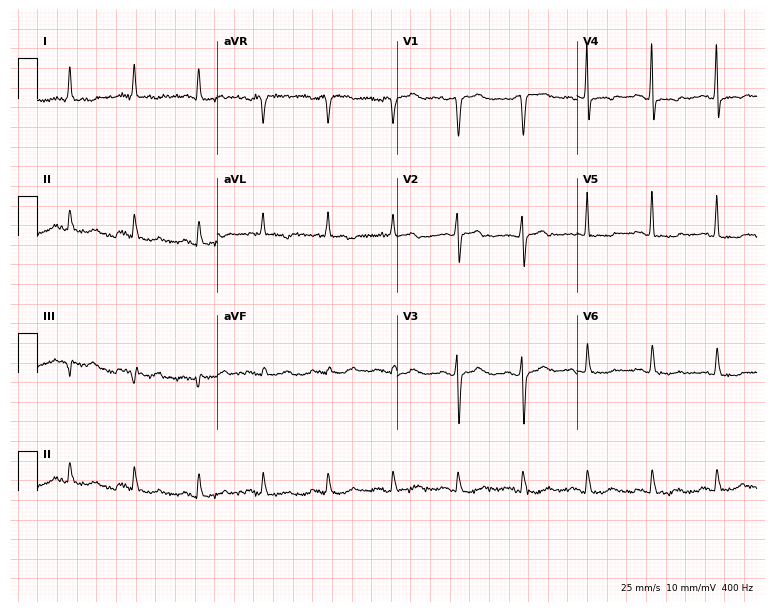
Standard 12-lead ECG recorded from a woman, 80 years old (7.3-second recording at 400 Hz). None of these six findings is recorded: first-degree AV block, right bundle branch block (RBBB), left bundle branch block (LBBB), sinus bradycardia, atrial fibrillation (AF), sinus tachycardia. Findings outside these six are not listed.